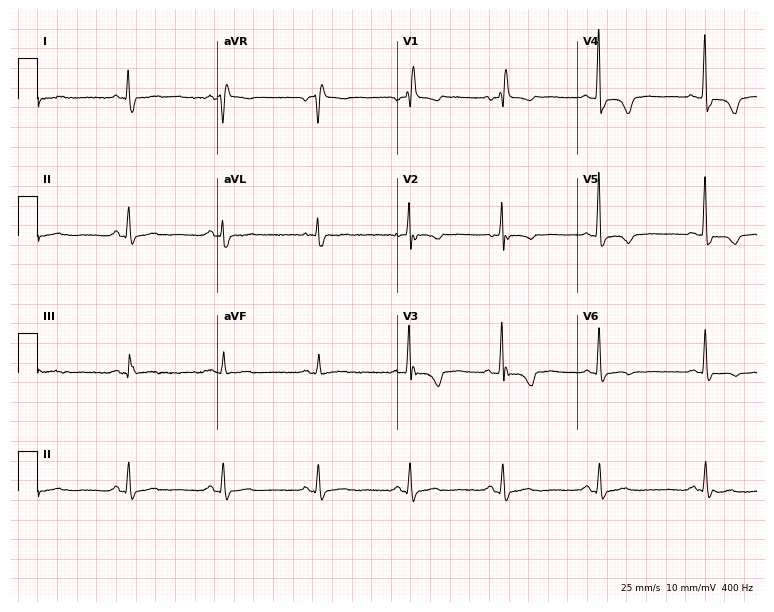
Standard 12-lead ECG recorded from a 71-year-old female patient (7.3-second recording at 400 Hz). The tracing shows right bundle branch block (RBBB).